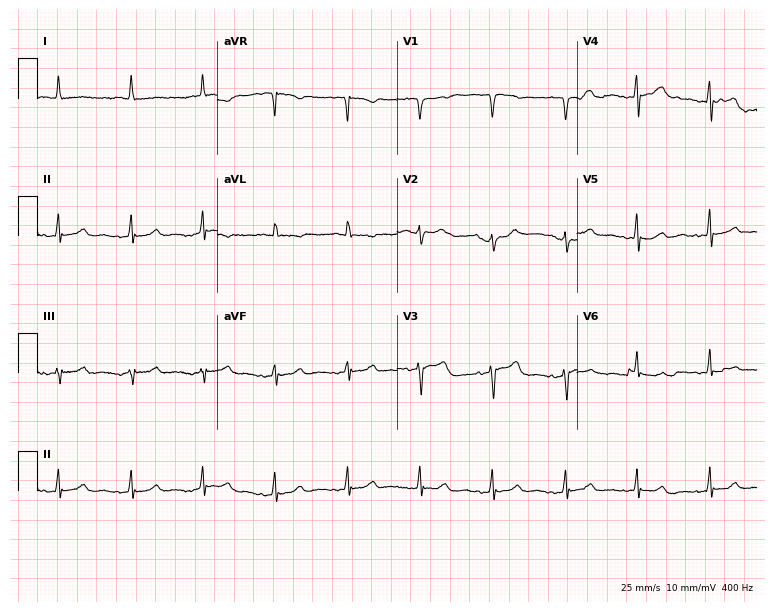
Electrocardiogram, a 74-year-old male. Overall reading on record: normal ECG.